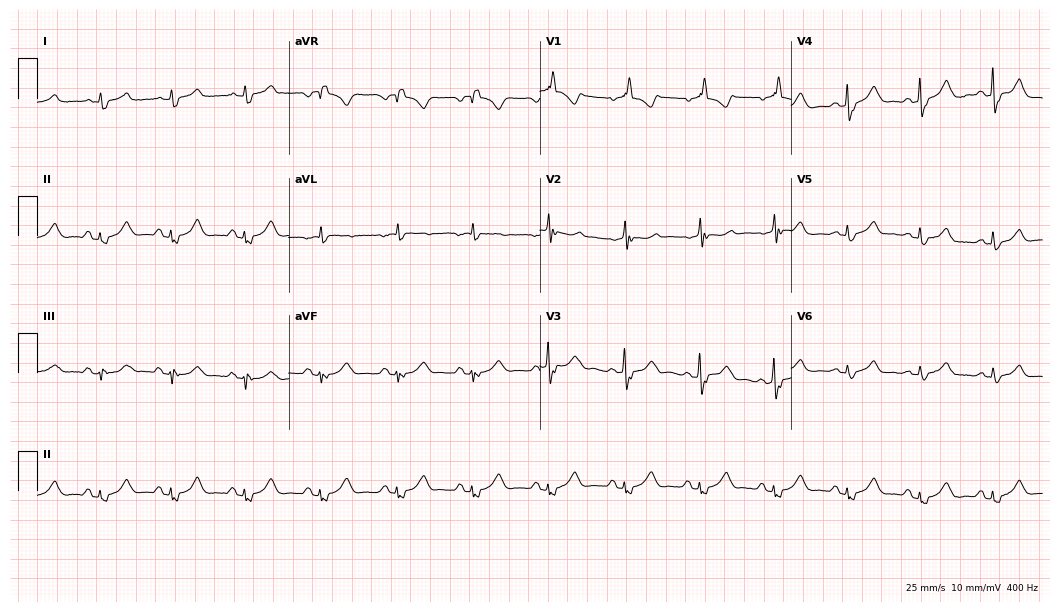
ECG (10.2-second recording at 400 Hz) — an 83-year-old male patient. Screened for six findings — first-degree AV block, right bundle branch block (RBBB), left bundle branch block (LBBB), sinus bradycardia, atrial fibrillation (AF), sinus tachycardia — none is recorded. Other findings, if any, are not listed.